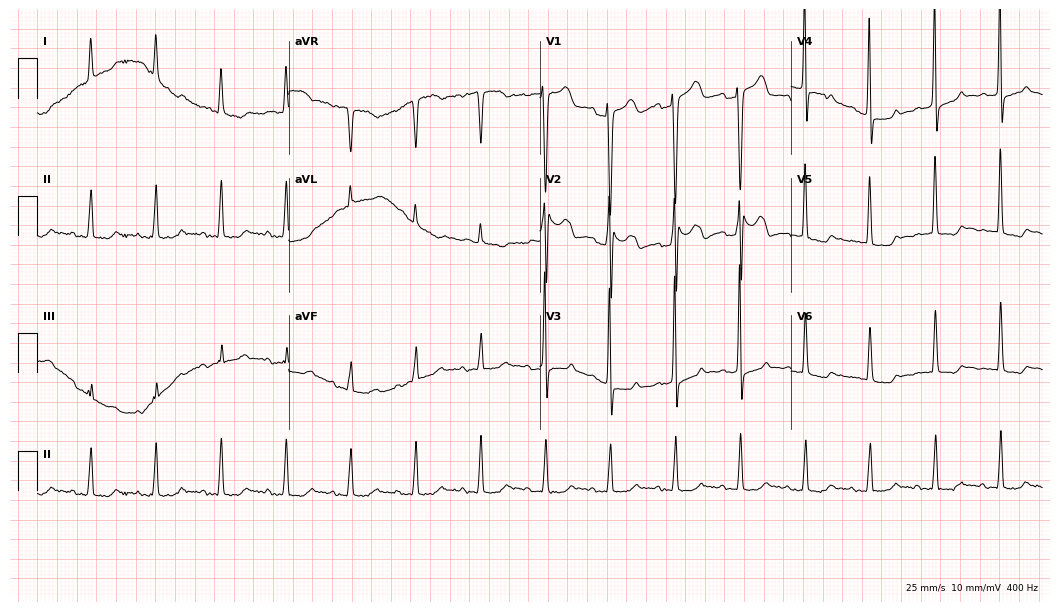
Electrocardiogram (10.2-second recording at 400 Hz), a 75-year-old female. Of the six screened findings (first-degree AV block, right bundle branch block (RBBB), left bundle branch block (LBBB), sinus bradycardia, atrial fibrillation (AF), sinus tachycardia), none is recorded.